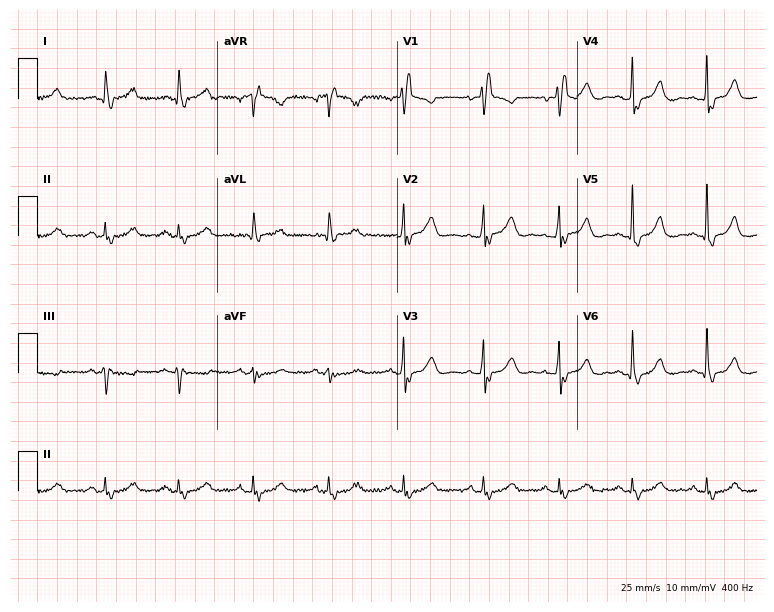
12-lead ECG (7.3-second recording at 400 Hz) from a woman, 66 years old. Screened for six findings — first-degree AV block, right bundle branch block, left bundle branch block, sinus bradycardia, atrial fibrillation, sinus tachycardia — none is recorded. Findings outside these six are not listed.